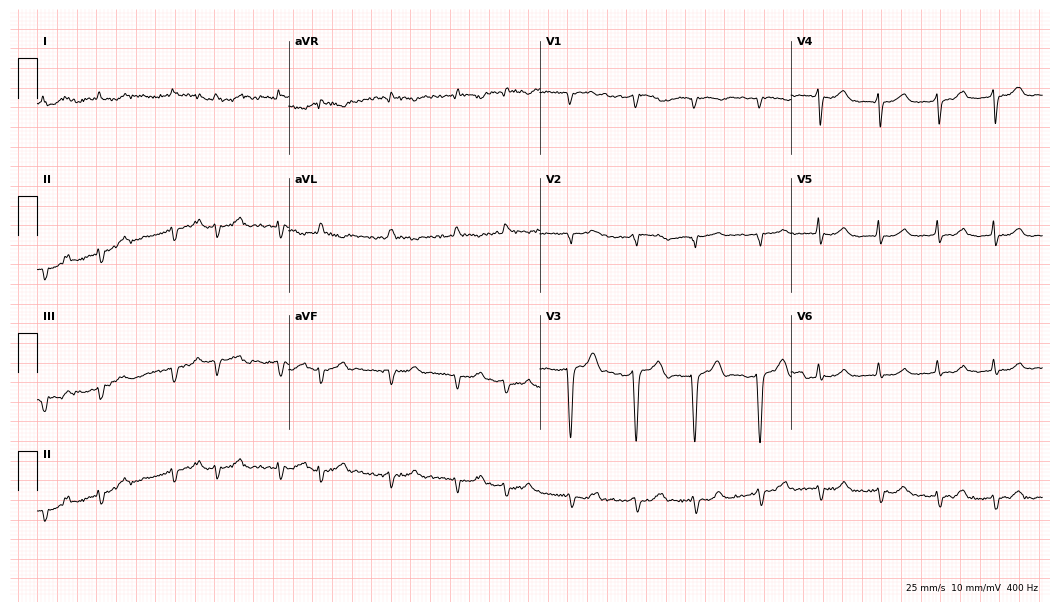
Resting 12-lead electrocardiogram. Patient: a male, 86 years old. The tracing shows atrial fibrillation (AF).